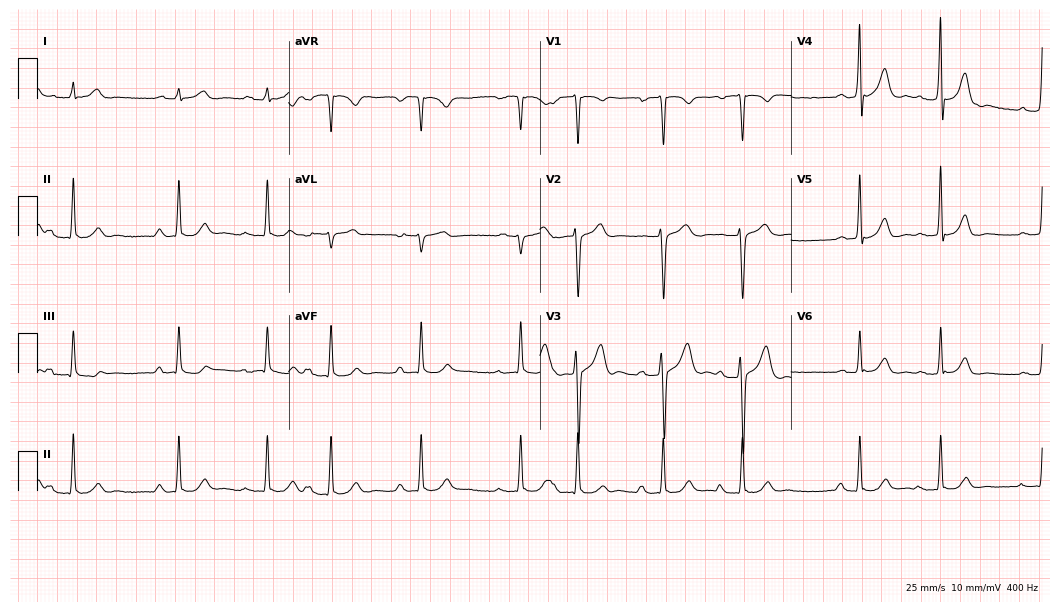
12-lead ECG from a male patient, 55 years old. Screened for six findings — first-degree AV block, right bundle branch block, left bundle branch block, sinus bradycardia, atrial fibrillation, sinus tachycardia — none is recorded.